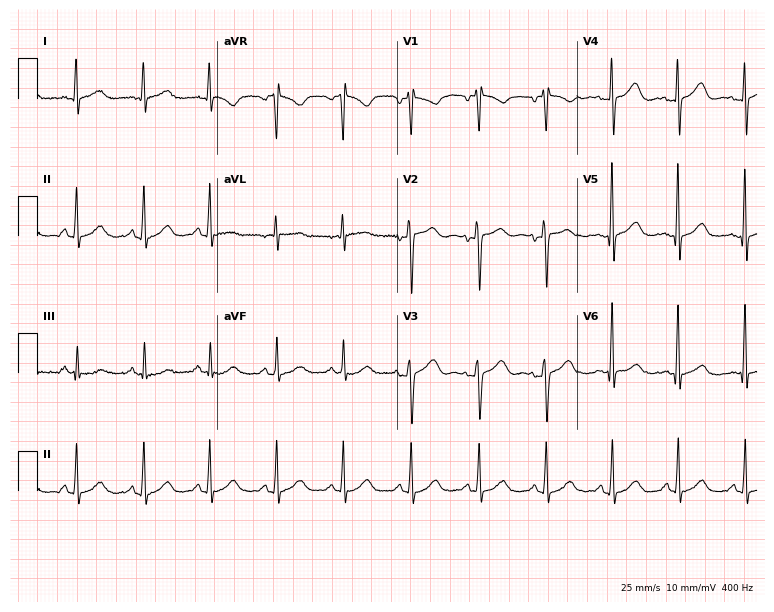
12-lead ECG from a female, 48 years old (7.3-second recording at 400 Hz). No first-degree AV block, right bundle branch block, left bundle branch block, sinus bradycardia, atrial fibrillation or sinus tachycardia recorded for this tracing. Only these six findings were labelled.